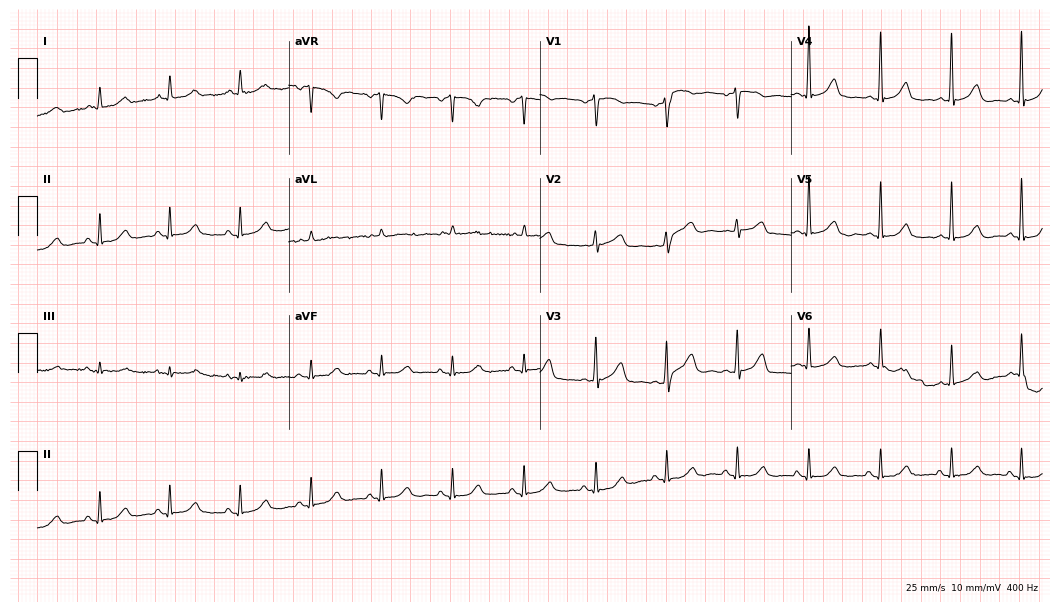
12-lead ECG (10.2-second recording at 400 Hz) from an 81-year-old female patient. Labelled as a normal ECG.